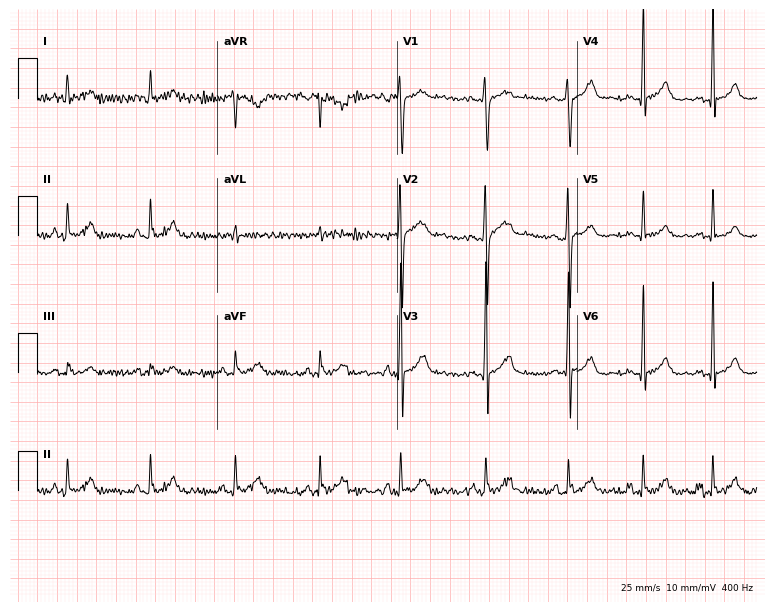
ECG — a male patient, 23 years old. Screened for six findings — first-degree AV block, right bundle branch block (RBBB), left bundle branch block (LBBB), sinus bradycardia, atrial fibrillation (AF), sinus tachycardia — none is recorded. Only these six findings were labelled.